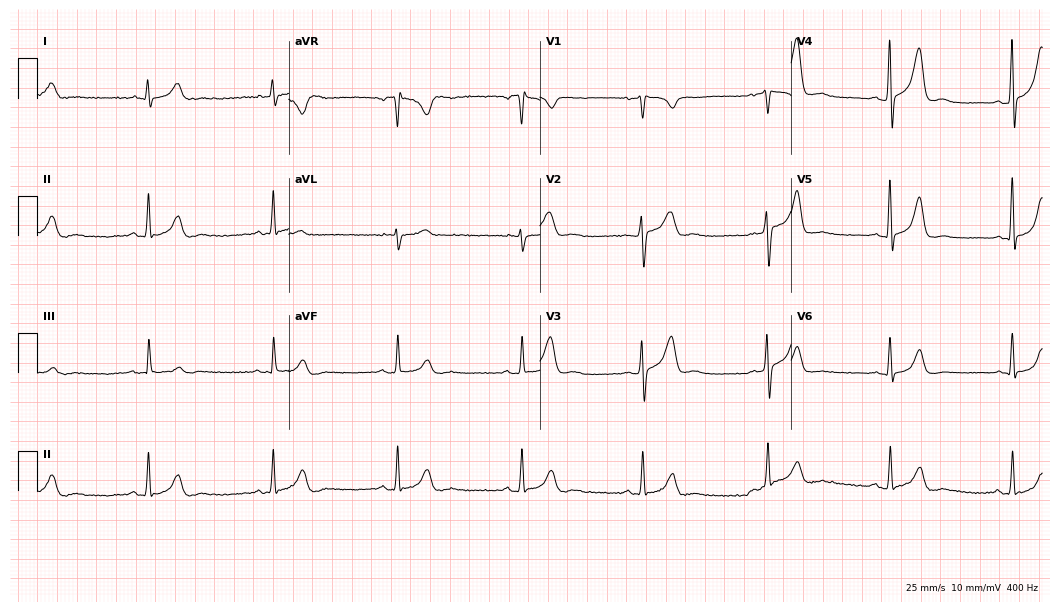
Electrocardiogram (10.2-second recording at 400 Hz), a male patient, 47 years old. Overall reading on record: normal ECG.